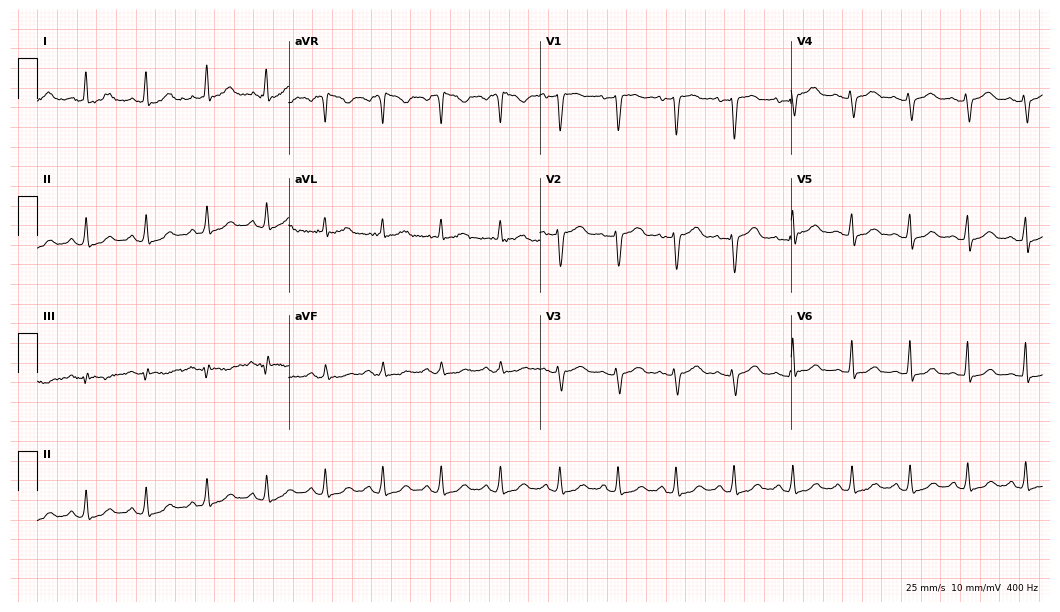
ECG (10.2-second recording at 400 Hz) — a 42-year-old female patient. Screened for six findings — first-degree AV block, right bundle branch block, left bundle branch block, sinus bradycardia, atrial fibrillation, sinus tachycardia — none is recorded.